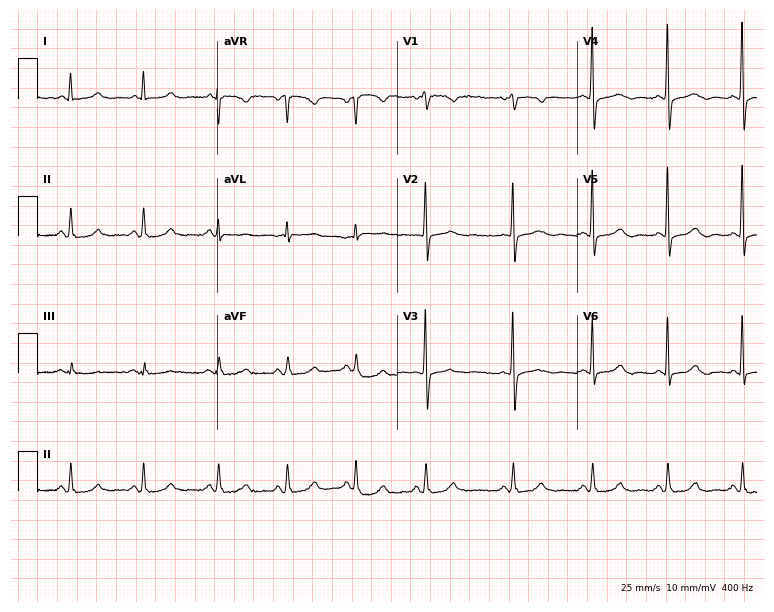
Standard 12-lead ECG recorded from a woman, 53 years old. Read as a normal ECG.